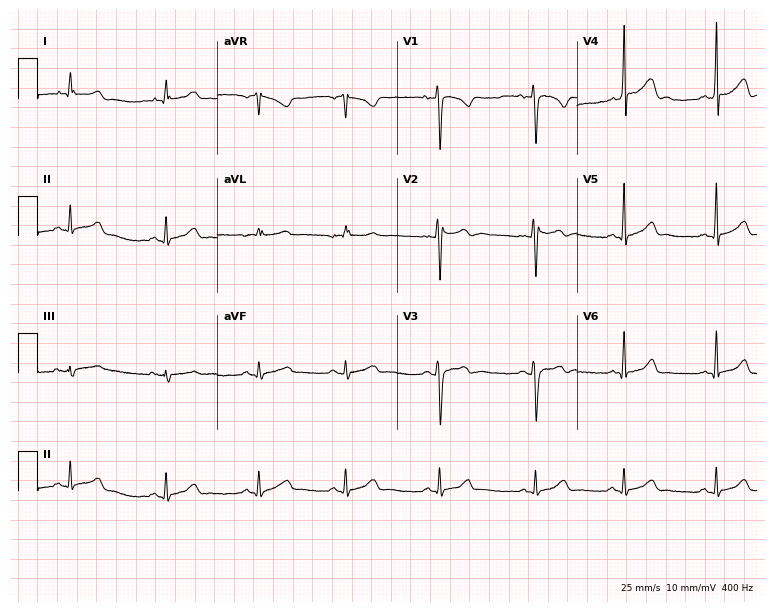
Standard 12-lead ECG recorded from an 18-year-old woman. Read as a normal ECG.